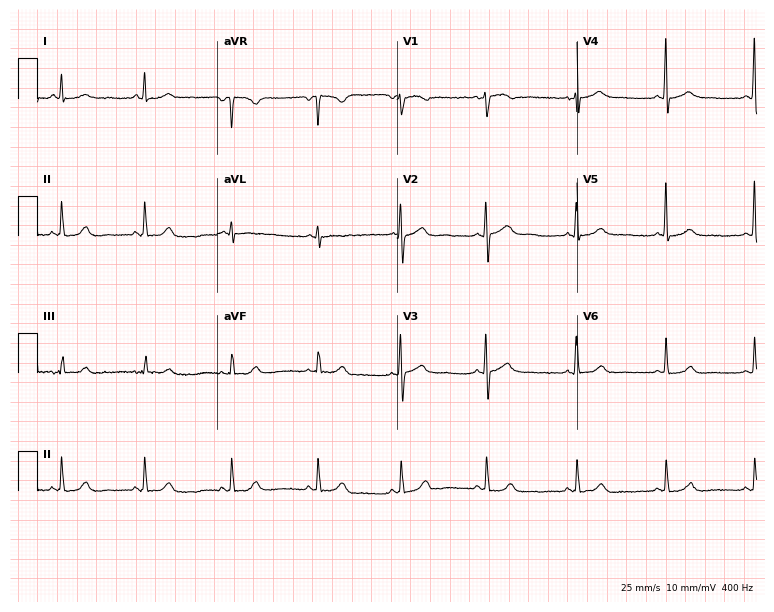
Resting 12-lead electrocardiogram (7.3-second recording at 400 Hz). Patient: a 49-year-old female. Read as a normal ECG.